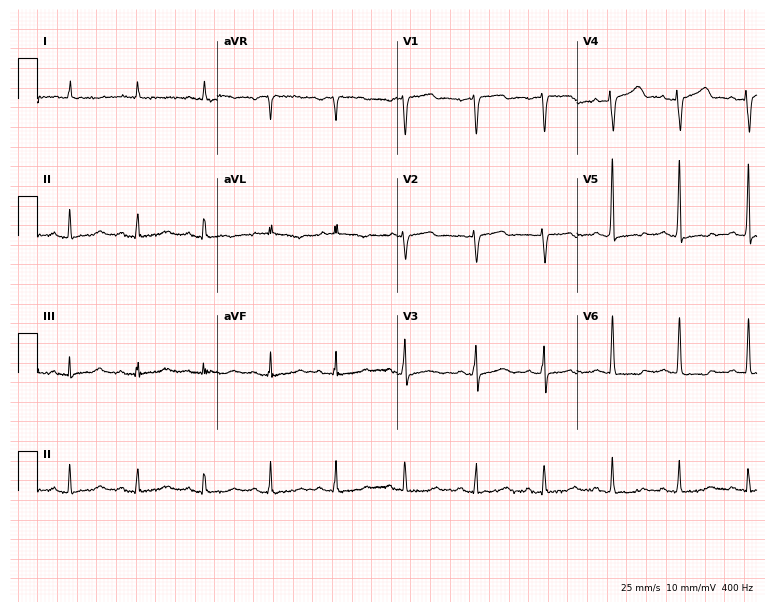
Resting 12-lead electrocardiogram. Patient: a female, 83 years old. None of these six findings is recorded: first-degree AV block, right bundle branch block, left bundle branch block, sinus bradycardia, atrial fibrillation, sinus tachycardia. Findings outside these six are not listed.